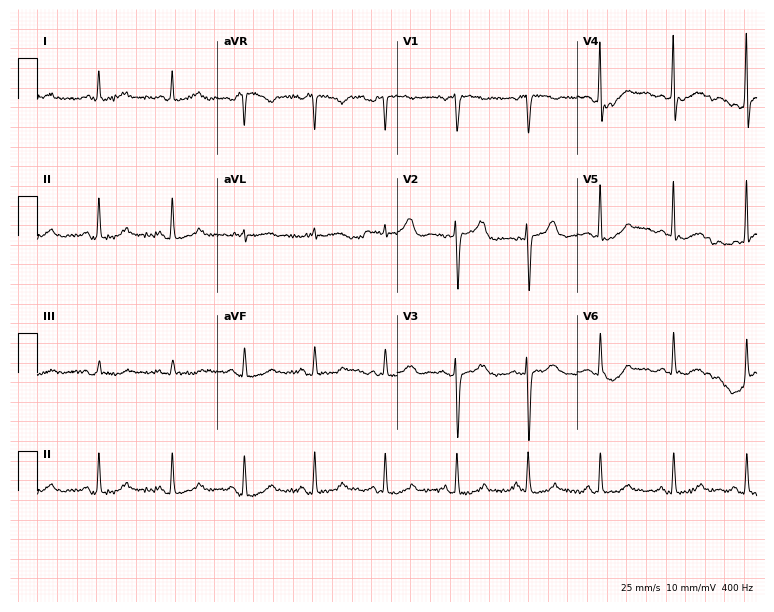
Electrocardiogram (7.3-second recording at 400 Hz), a woman, 49 years old. Overall reading on record: normal ECG.